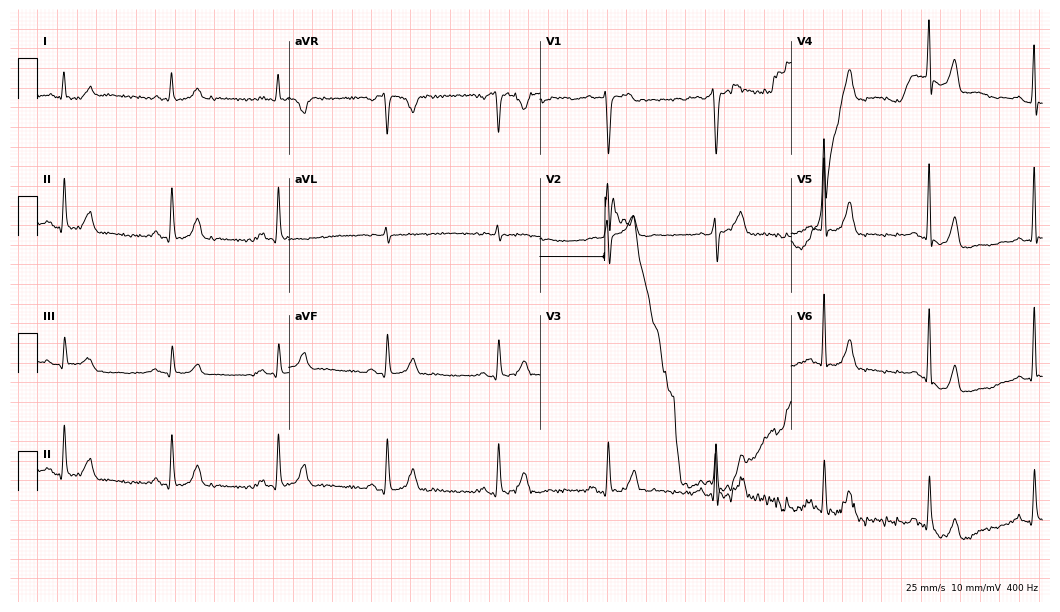
Electrocardiogram, a 64-year-old man. Overall reading on record: normal ECG.